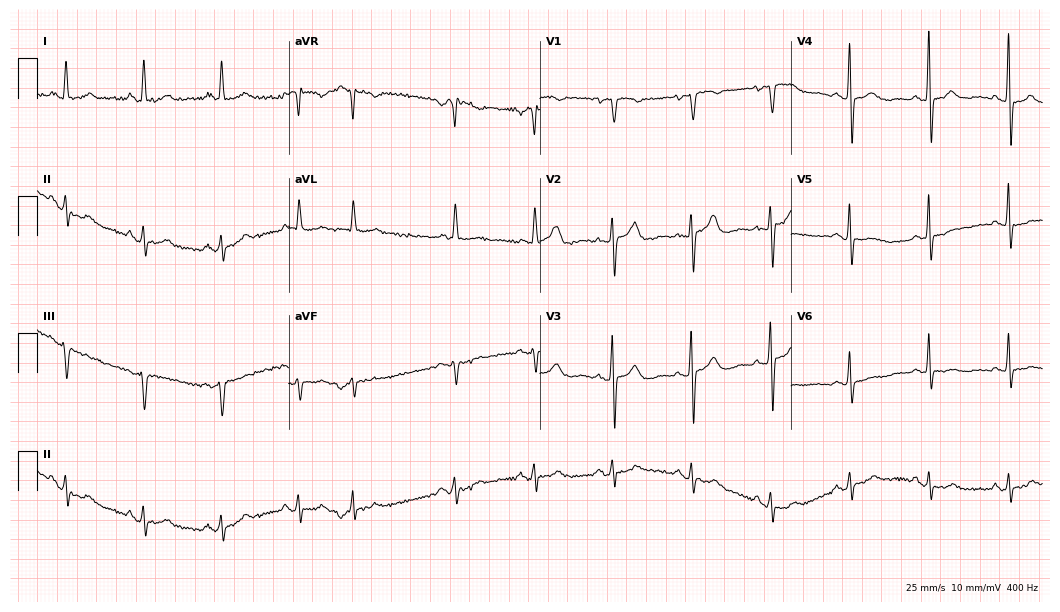
Resting 12-lead electrocardiogram (10.2-second recording at 400 Hz). Patient: a female, 60 years old. None of these six findings is recorded: first-degree AV block, right bundle branch block, left bundle branch block, sinus bradycardia, atrial fibrillation, sinus tachycardia.